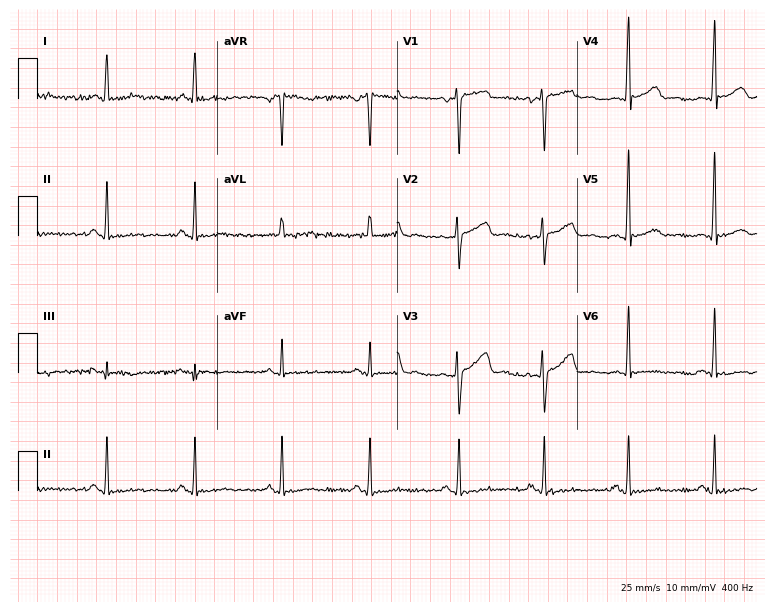
Electrocardiogram (7.3-second recording at 400 Hz), a female patient, 45 years old. Of the six screened findings (first-degree AV block, right bundle branch block, left bundle branch block, sinus bradycardia, atrial fibrillation, sinus tachycardia), none is recorded.